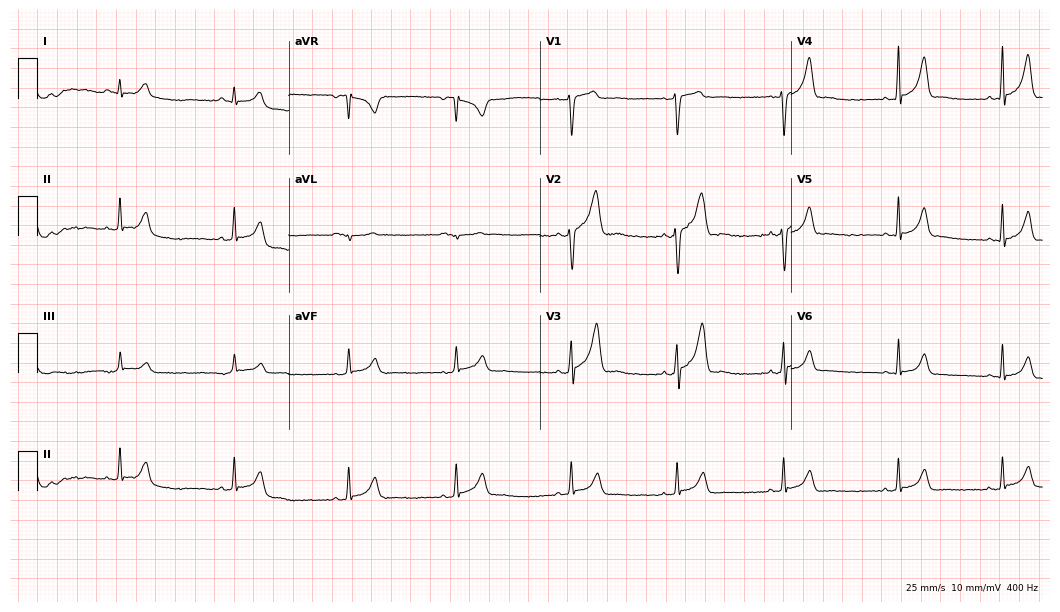
12-lead ECG from a man, 20 years old. Labelled as a normal ECG.